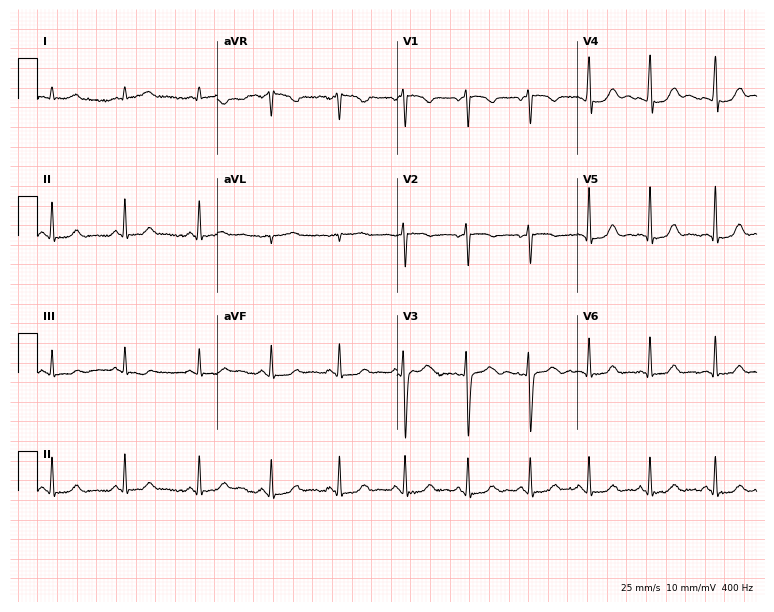
Resting 12-lead electrocardiogram (7.3-second recording at 400 Hz). Patient: a 29-year-old woman. None of these six findings is recorded: first-degree AV block, right bundle branch block (RBBB), left bundle branch block (LBBB), sinus bradycardia, atrial fibrillation (AF), sinus tachycardia. Findings outside these six are not listed.